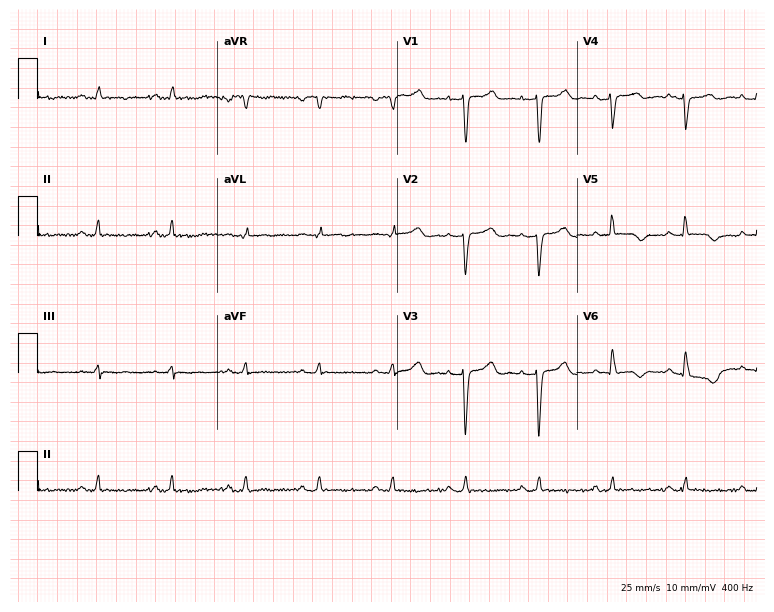
12-lead ECG from a female, 78 years old. Screened for six findings — first-degree AV block, right bundle branch block, left bundle branch block, sinus bradycardia, atrial fibrillation, sinus tachycardia — none is recorded.